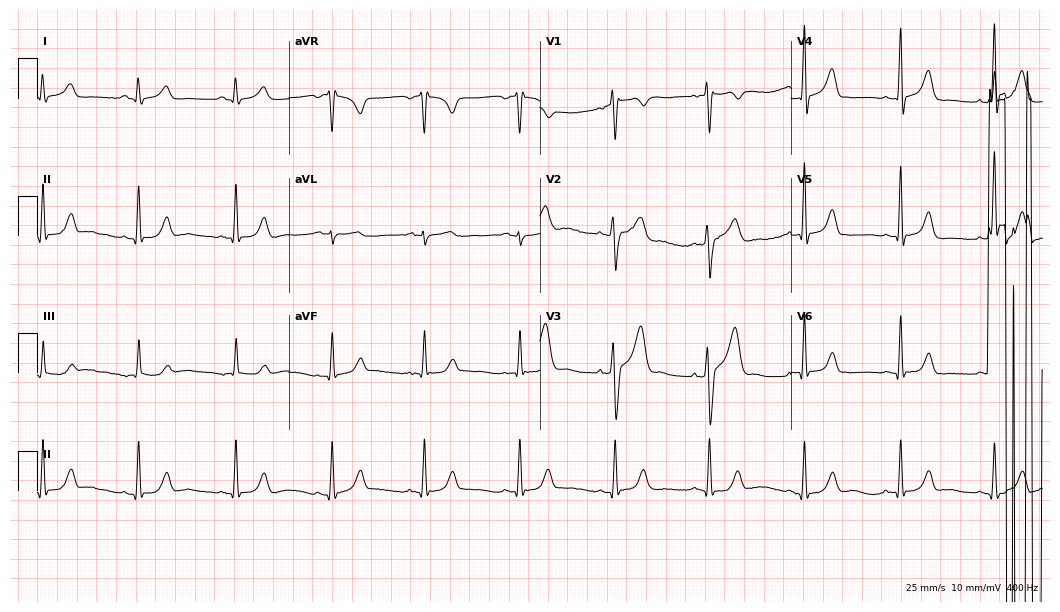
Resting 12-lead electrocardiogram (10.2-second recording at 400 Hz). Patient: a 37-year-old male. Read as a normal ECG.